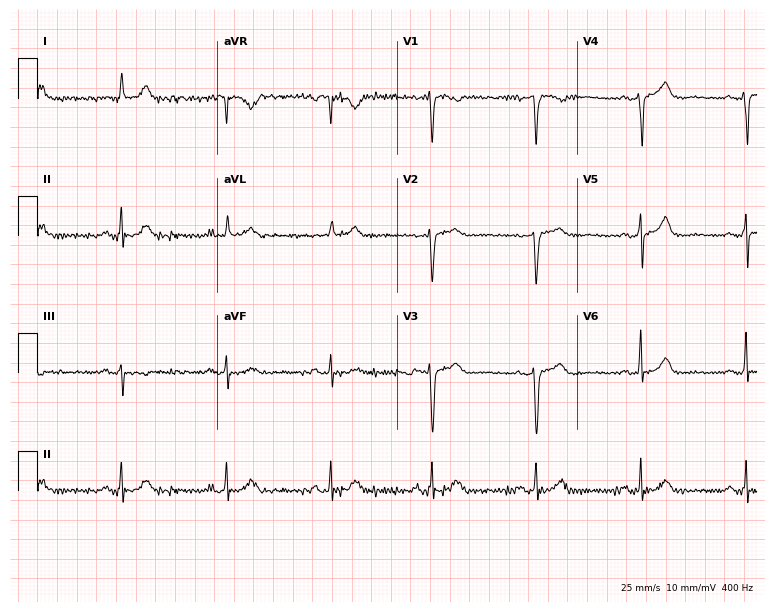
ECG — a 64-year-old female. Labelled as a normal ECG.